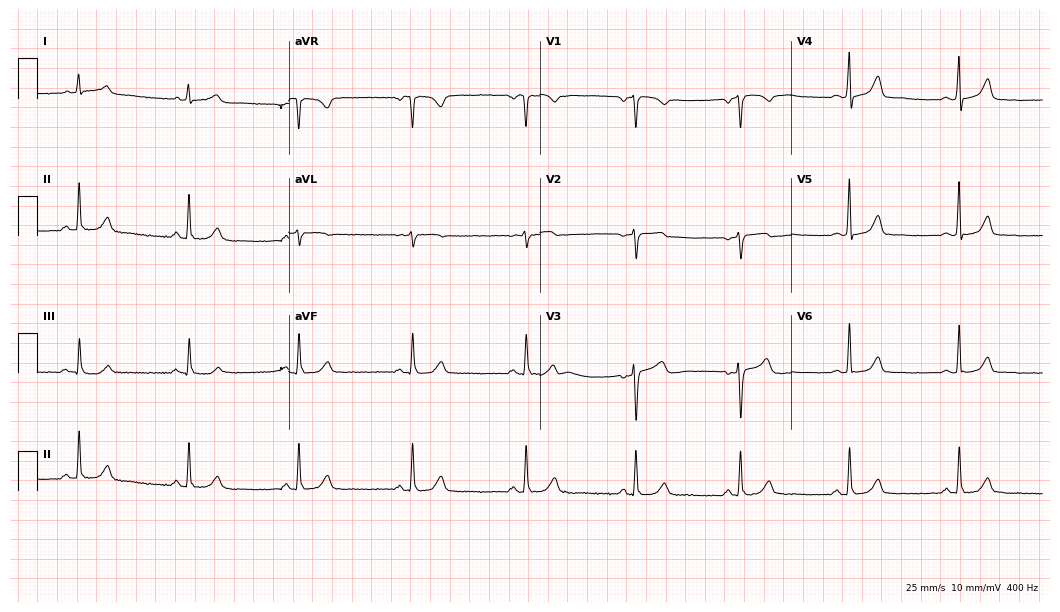
12-lead ECG (10.2-second recording at 400 Hz) from a female patient, 60 years old. Screened for six findings — first-degree AV block, right bundle branch block, left bundle branch block, sinus bradycardia, atrial fibrillation, sinus tachycardia — none is recorded.